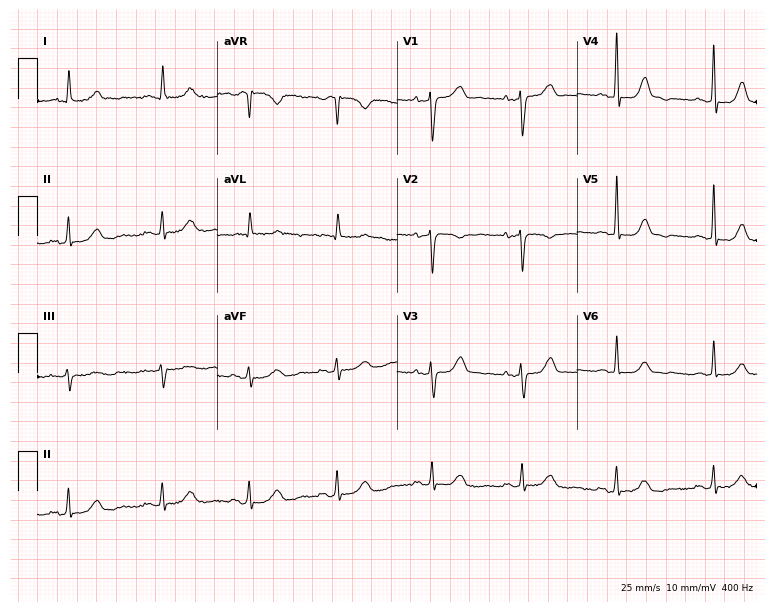
Resting 12-lead electrocardiogram. Patient: an 82-year-old female. None of these six findings is recorded: first-degree AV block, right bundle branch block, left bundle branch block, sinus bradycardia, atrial fibrillation, sinus tachycardia. Findings outside these six are not listed.